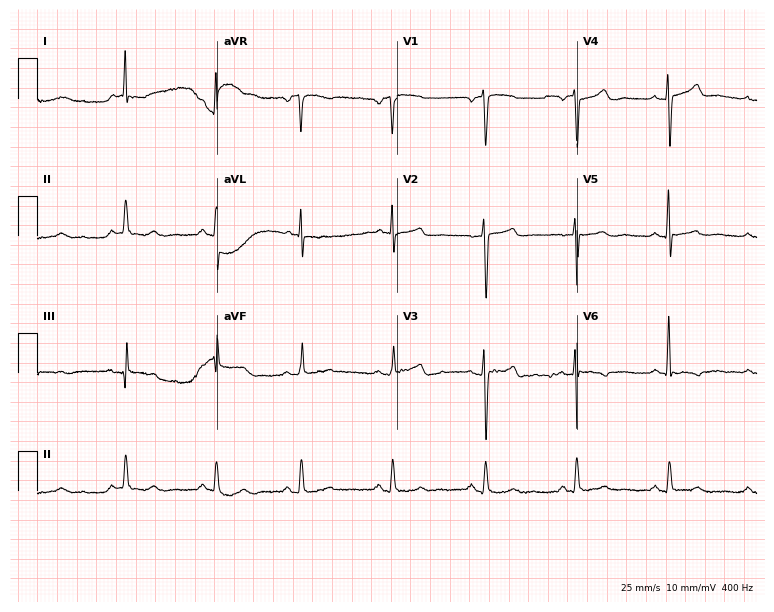
ECG (7.3-second recording at 400 Hz) — a female patient, 74 years old. Screened for six findings — first-degree AV block, right bundle branch block, left bundle branch block, sinus bradycardia, atrial fibrillation, sinus tachycardia — none is recorded. Findings outside these six are not listed.